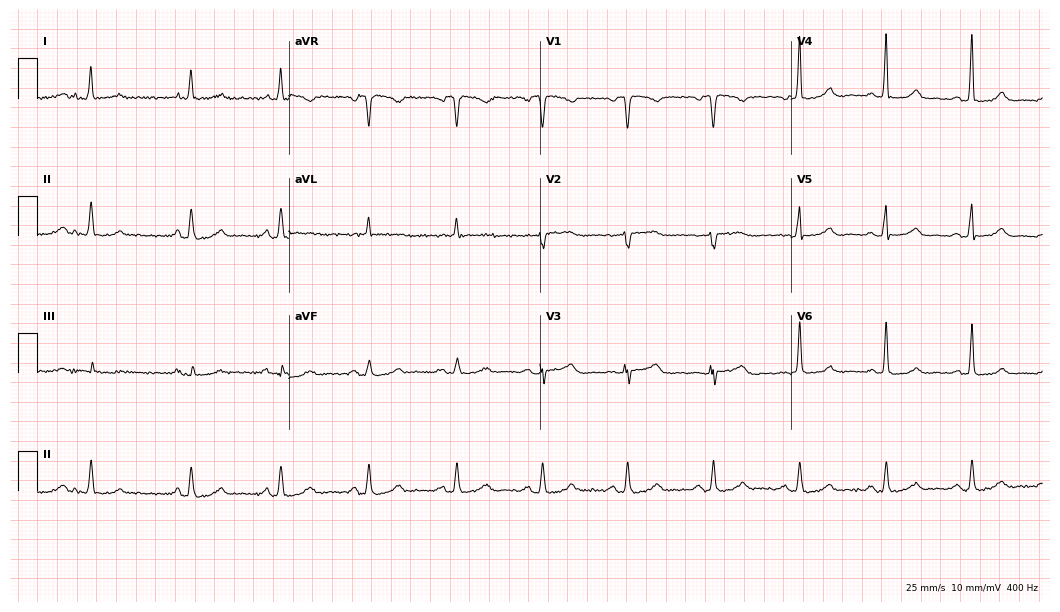
Resting 12-lead electrocardiogram. Patient: a 78-year-old woman. None of these six findings is recorded: first-degree AV block, right bundle branch block, left bundle branch block, sinus bradycardia, atrial fibrillation, sinus tachycardia. Other findings, if any, are not listed.